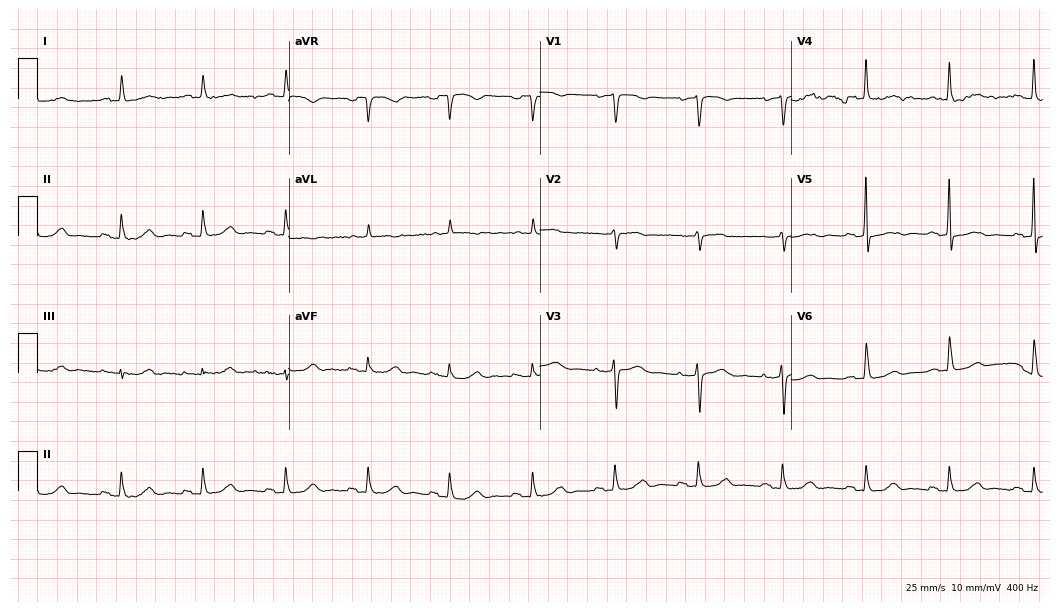
12-lead ECG from a 77-year-old female patient. Labelled as a normal ECG.